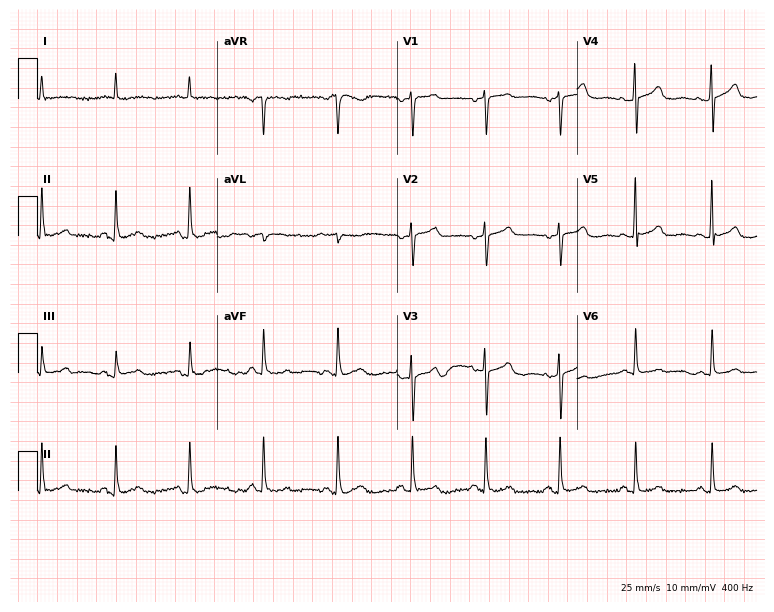
Resting 12-lead electrocardiogram (7.3-second recording at 400 Hz). Patient: a female, 63 years old. Read as a normal ECG.